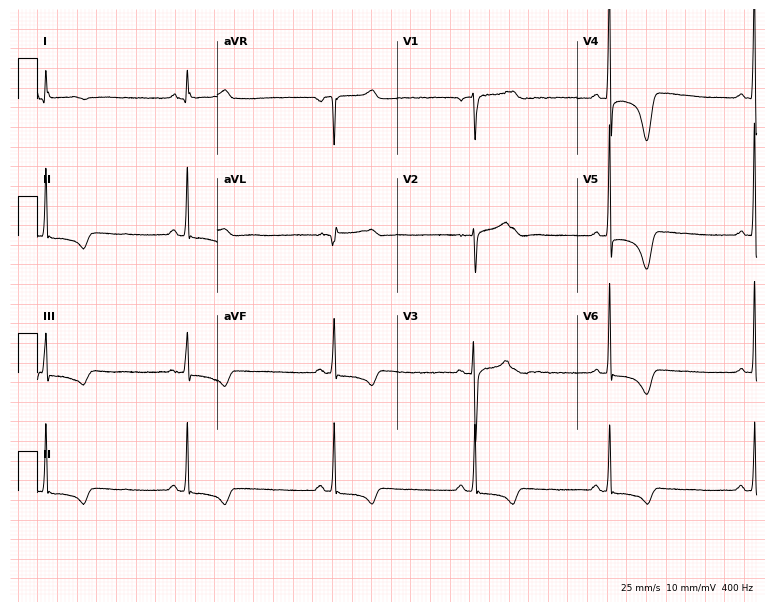
Electrocardiogram (7.3-second recording at 400 Hz), a female patient, 43 years old. Interpretation includes sinus bradycardia (a sinus rate of 50 beats per minute or less).